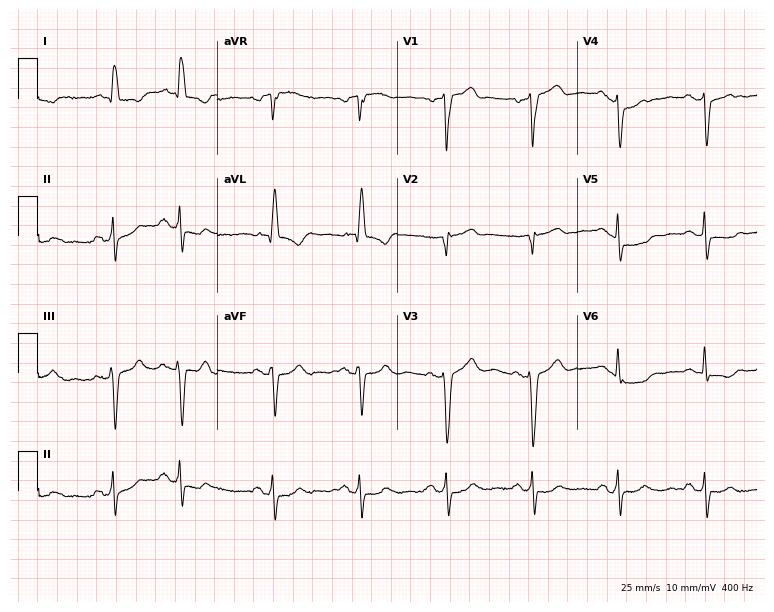
Standard 12-lead ECG recorded from a female, 80 years old (7.3-second recording at 400 Hz). None of these six findings is recorded: first-degree AV block, right bundle branch block, left bundle branch block, sinus bradycardia, atrial fibrillation, sinus tachycardia.